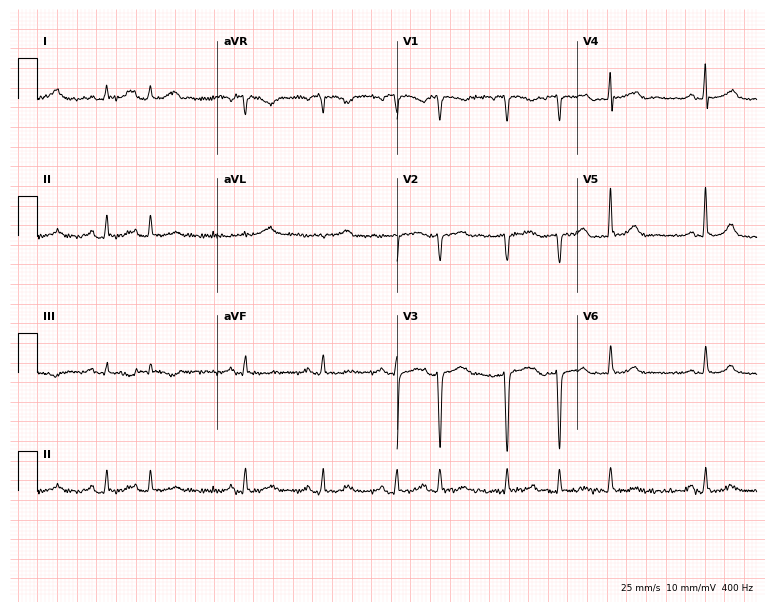
Electrocardiogram (7.3-second recording at 400 Hz), a woman, 80 years old. Of the six screened findings (first-degree AV block, right bundle branch block (RBBB), left bundle branch block (LBBB), sinus bradycardia, atrial fibrillation (AF), sinus tachycardia), none is recorded. Findings outside these six are not listed.